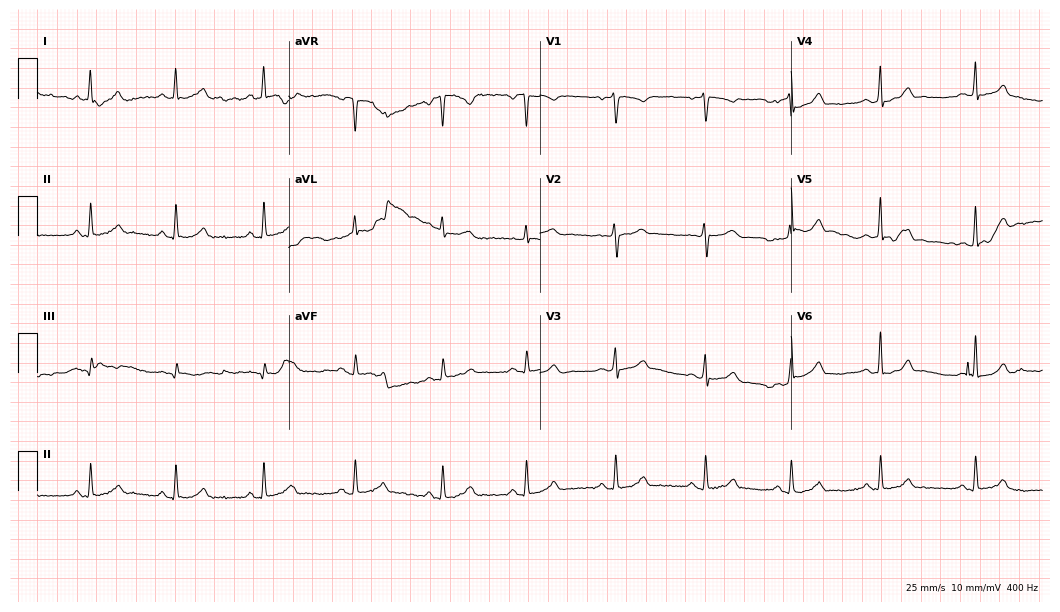
ECG (10.2-second recording at 400 Hz) — a woman, 30 years old. Labelled as a normal ECG.